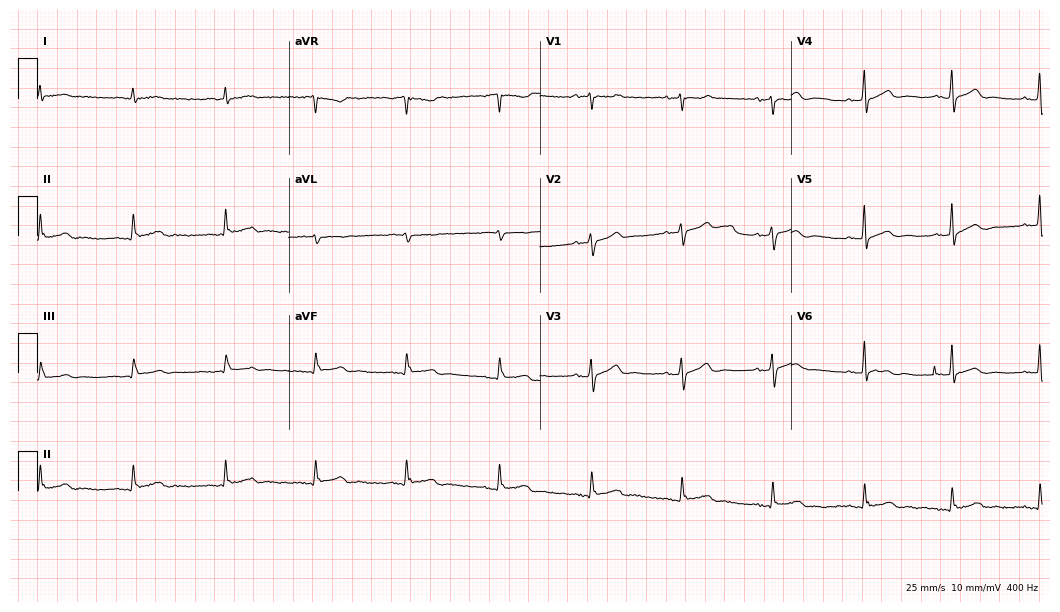
Electrocardiogram, a man, 83 years old. Of the six screened findings (first-degree AV block, right bundle branch block, left bundle branch block, sinus bradycardia, atrial fibrillation, sinus tachycardia), none is recorded. Only these six findings were labelled.